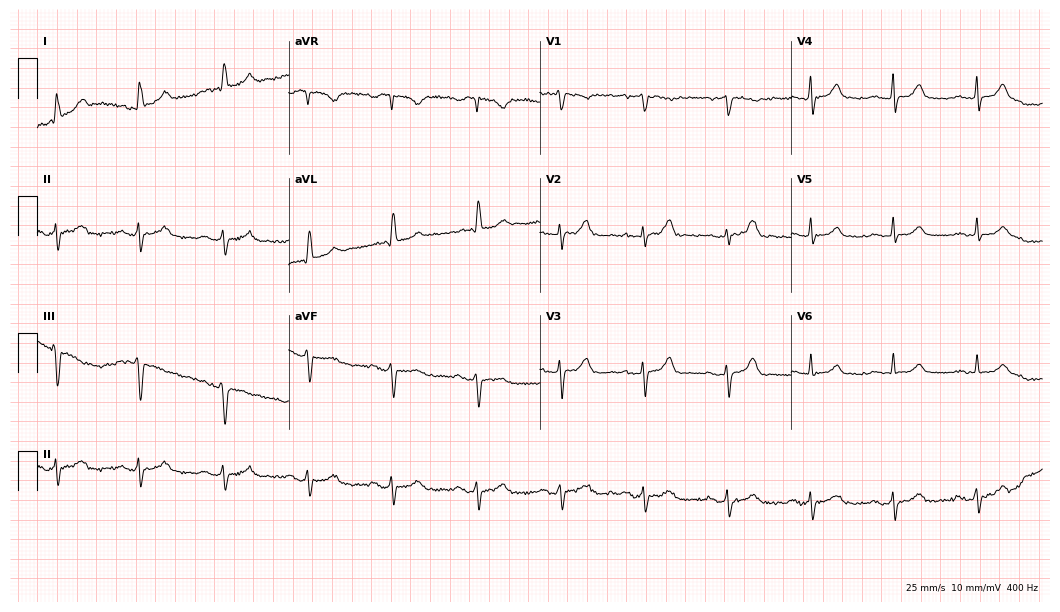
12-lead ECG (10.2-second recording at 400 Hz) from an 84-year-old woman. Screened for six findings — first-degree AV block, right bundle branch block, left bundle branch block, sinus bradycardia, atrial fibrillation, sinus tachycardia — none is recorded. Other findings, if any, are not listed.